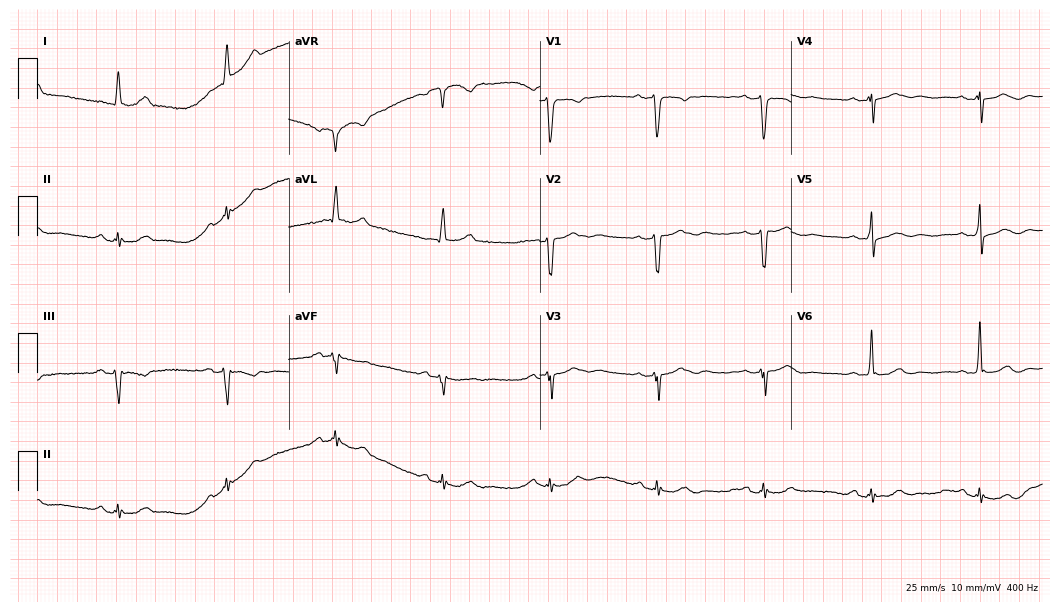
12-lead ECG from a 73-year-old man. No first-degree AV block, right bundle branch block (RBBB), left bundle branch block (LBBB), sinus bradycardia, atrial fibrillation (AF) or sinus tachycardia recorded for this tracing. Only these six findings were labelled.